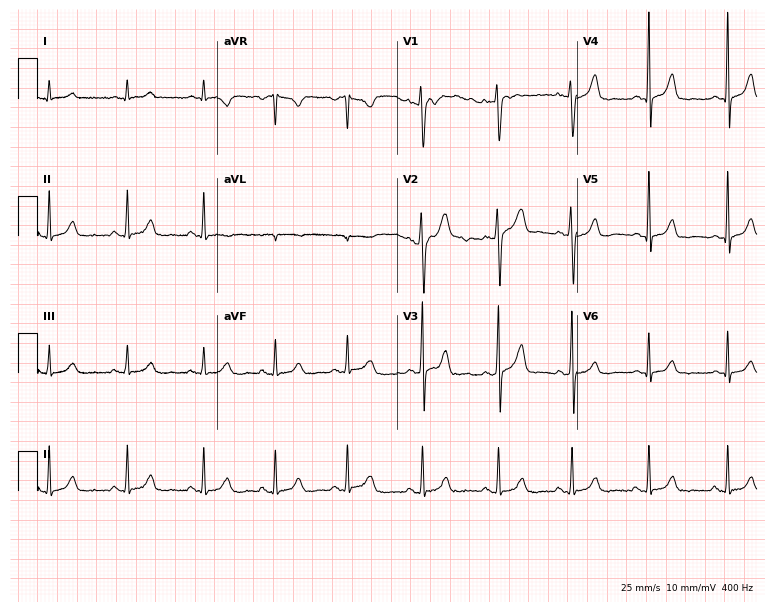
Electrocardiogram, a 35-year-old female. Overall reading on record: normal ECG.